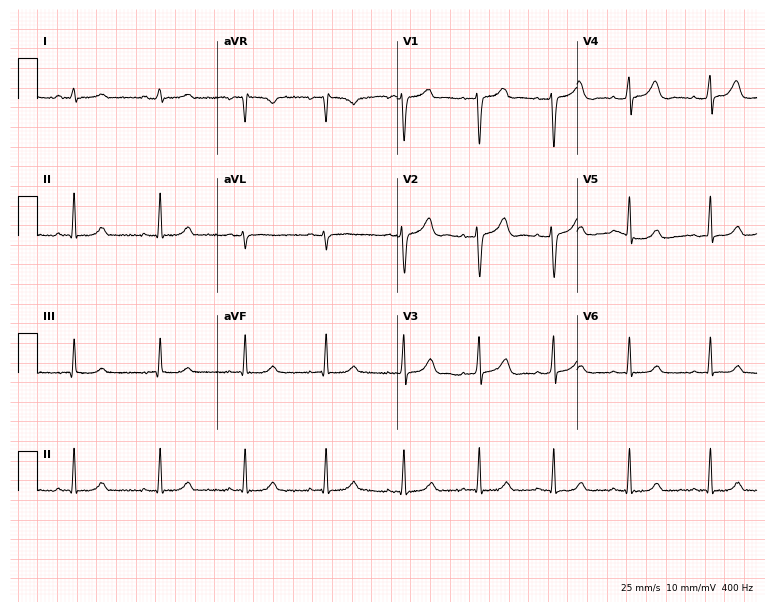
ECG — a female, 27 years old. Screened for six findings — first-degree AV block, right bundle branch block (RBBB), left bundle branch block (LBBB), sinus bradycardia, atrial fibrillation (AF), sinus tachycardia — none is recorded. Only these six findings were labelled.